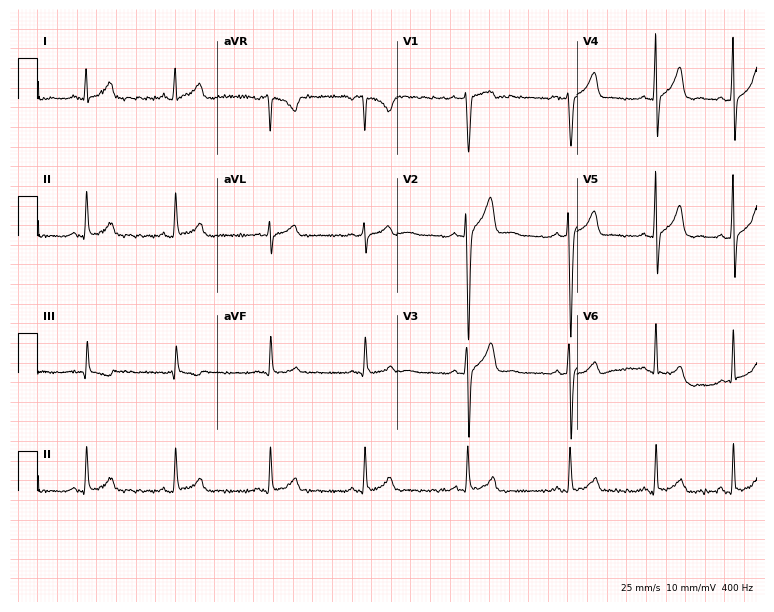
12-lead ECG from a male, 21 years old. Recorded interpretation: within normal limits.